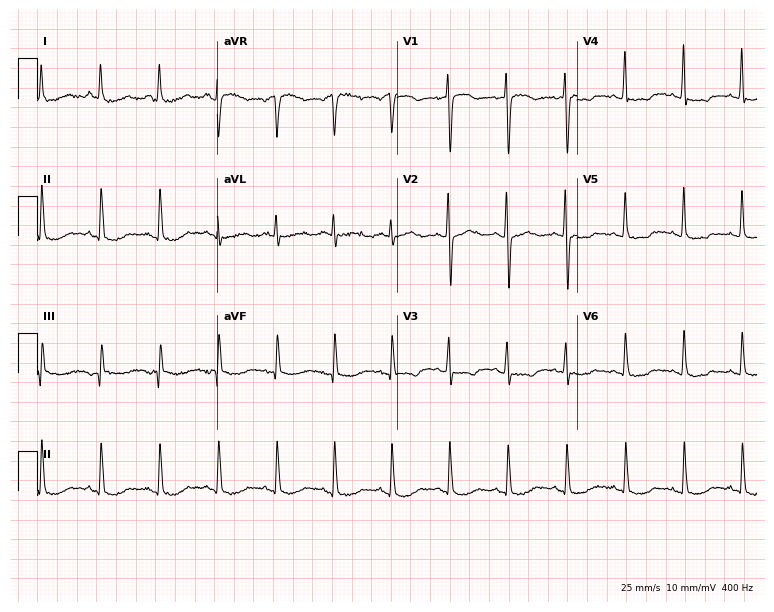
Standard 12-lead ECG recorded from a woman, 52 years old (7.3-second recording at 400 Hz). None of these six findings is recorded: first-degree AV block, right bundle branch block, left bundle branch block, sinus bradycardia, atrial fibrillation, sinus tachycardia. Findings outside these six are not listed.